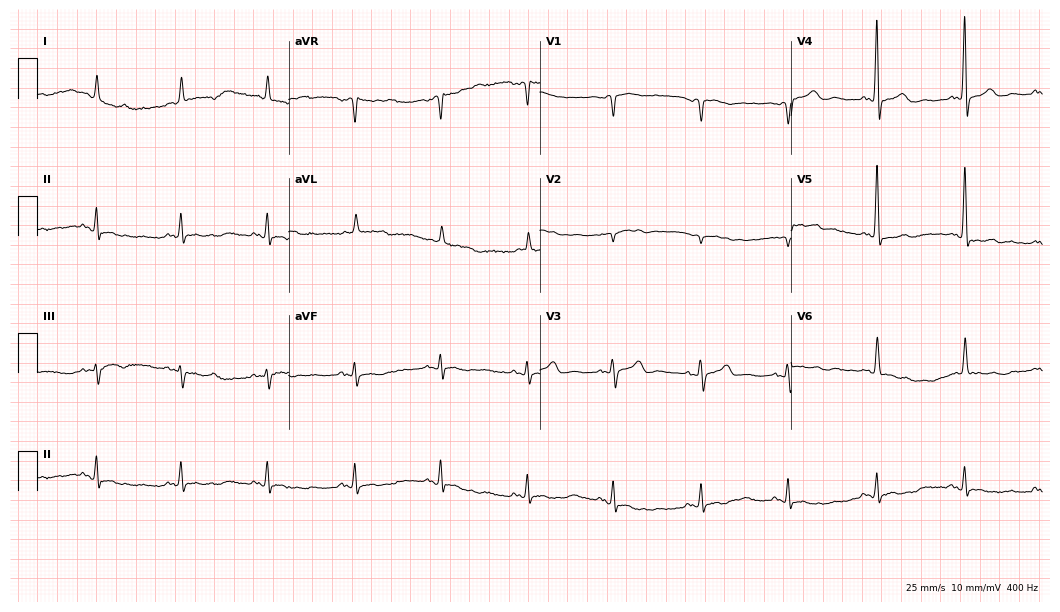
Resting 12-lead electrocardiogram (10.2-second recording at 400 Hz). Patient: a 78-year-old male. None of these six findings is recorded: first-degree AV block, right bundle branch block, left bundle branch block, sinus bradycardia, atrial fibrillation, sinus tachycardia.